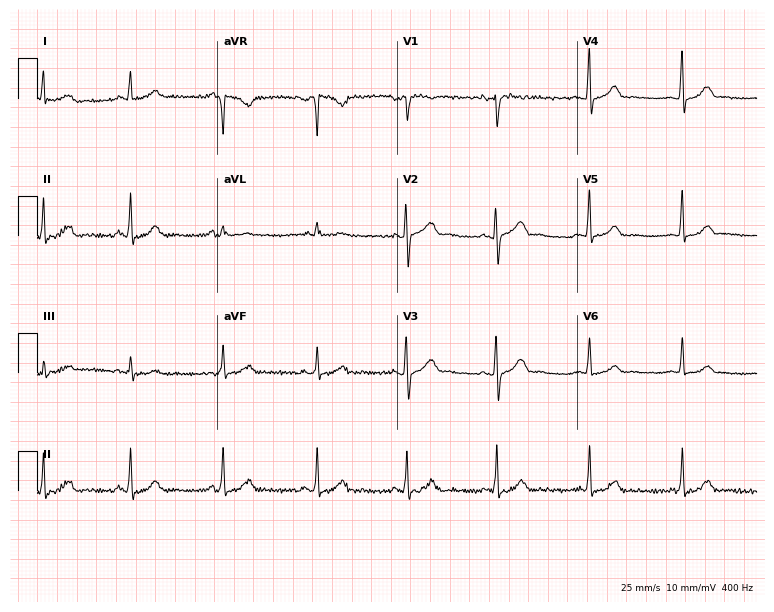
12-lead ECG from a 46-year-old female patient. Labelled as a normal ECG.